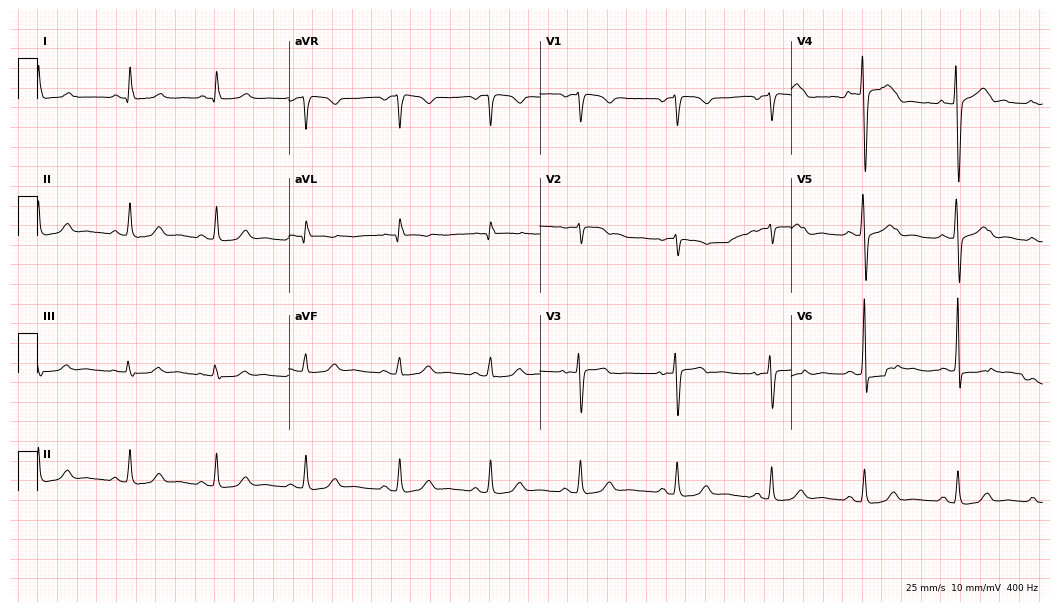
12-lead ECG from a female, 48 years old. Recorded interpretation: within normal limits.